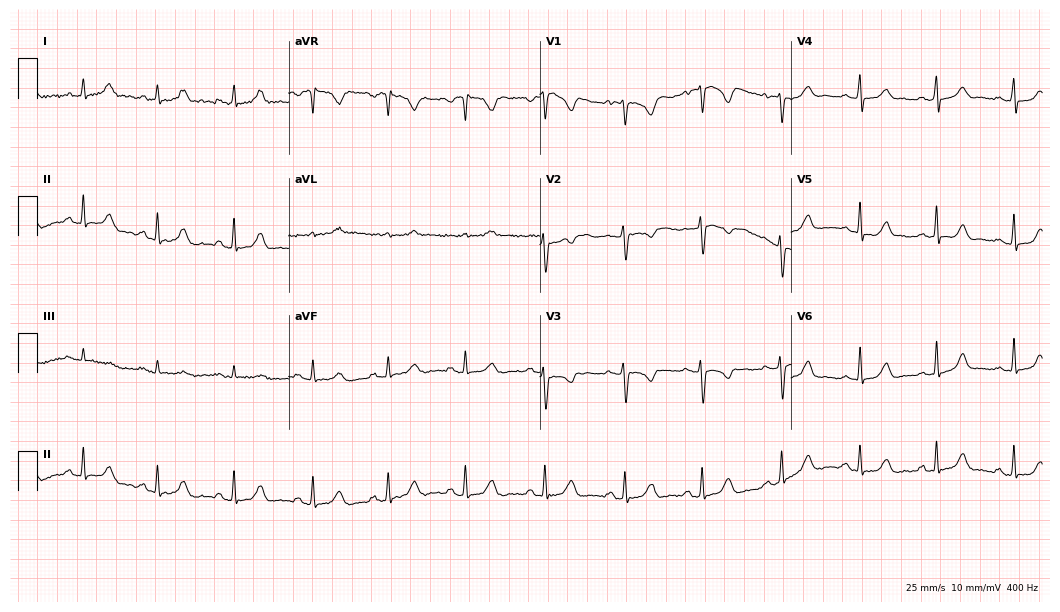
12-lead ECG from a female patient, 32 years old. Screened for six findings — first-degree AV block, right bundle branch block (RBBB), left bundle branch block (LBBB), sinus bradycardia, atrial fibrillation (AF), sinus tachycardia — none is recorded.